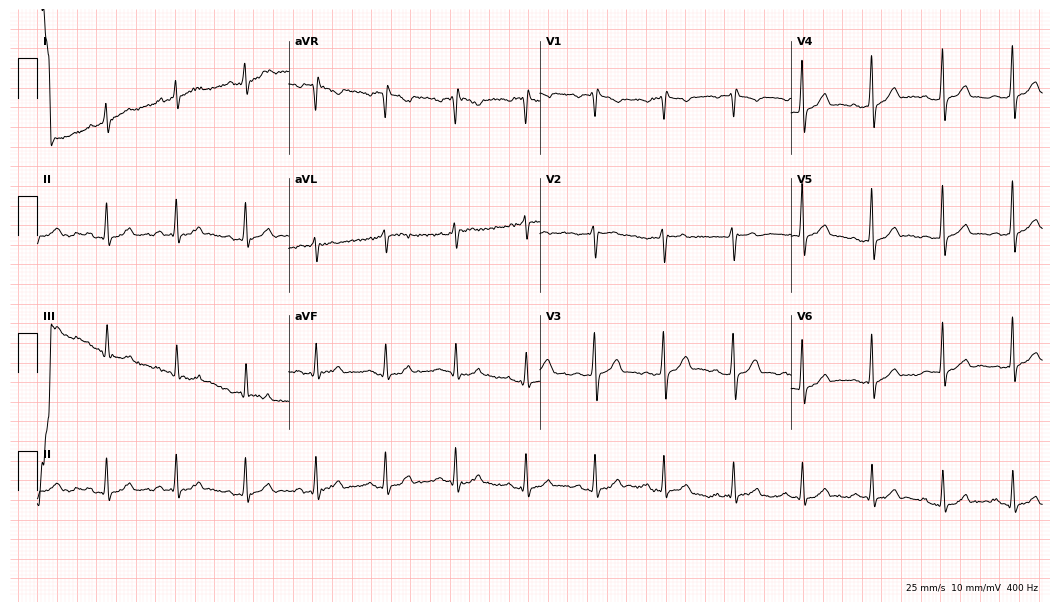
ECG (10.2-second recording at 400 Hz) — a man, 47 years old. Labelled as a normal ECG.